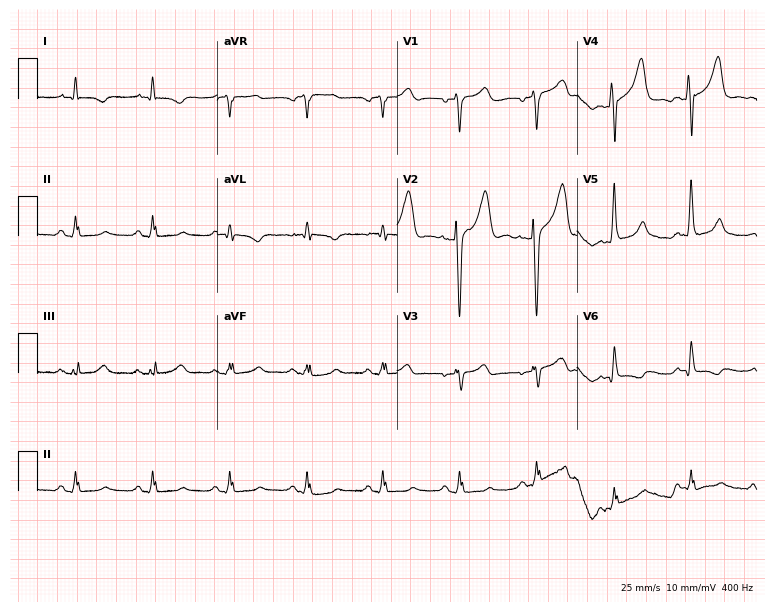
ECG (7.3-second recording at 400 Hz) — a man, 48 years old. Screened for six findings — first-degree AV block, right bundle branch block, left bundle branch block, sinus bradycardia, atrial fibrillation, sinus tachycardia — none is recorded.